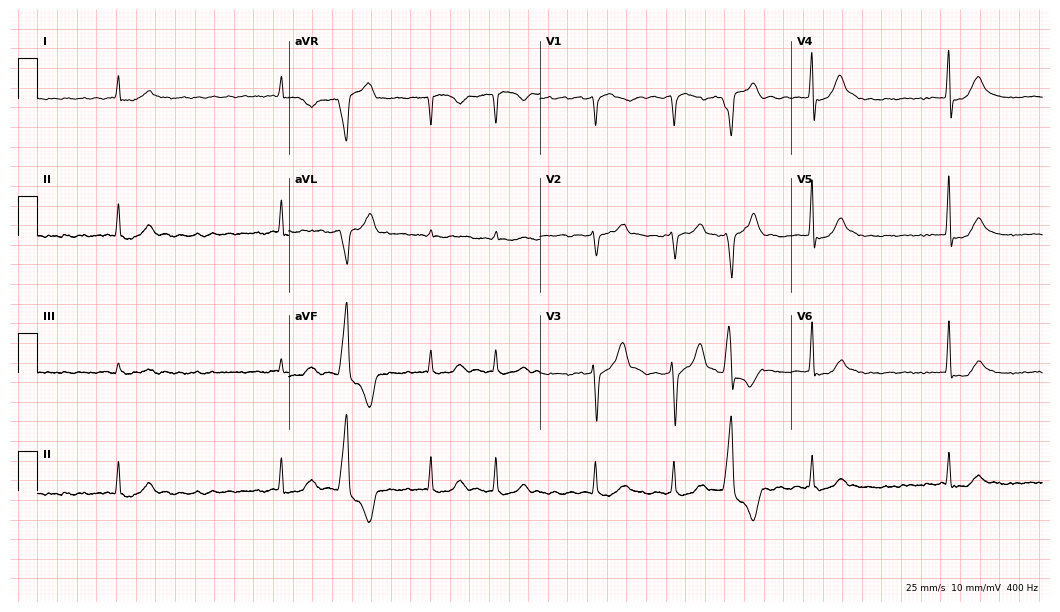
Electrocardiogram (10.2-second recording at 400 Hz), a male patient, 80 years old. Interpretation includes atrial fibrillation.